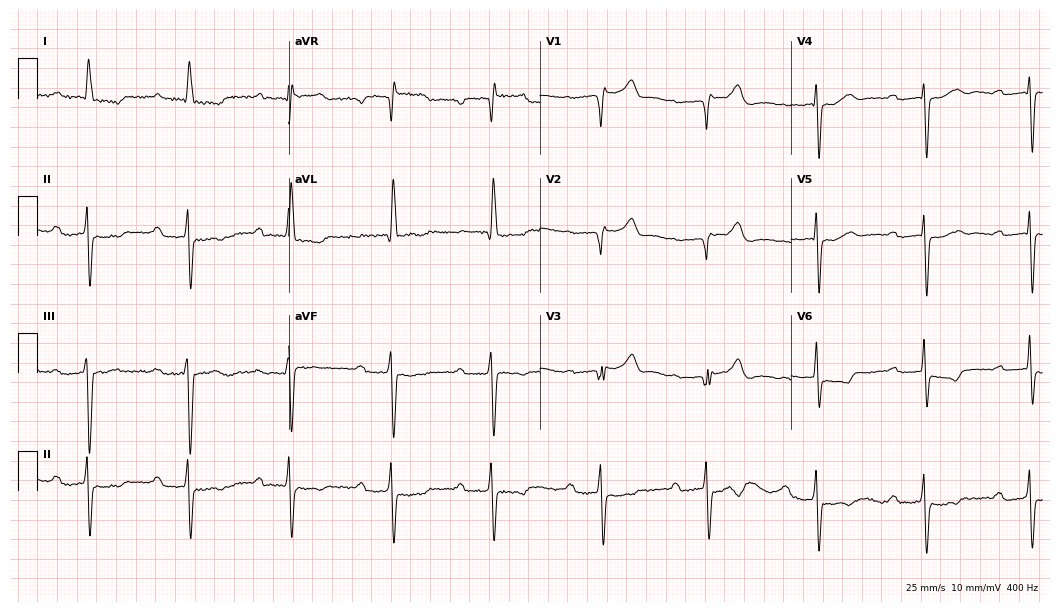
Resting 12-lead electrocardiogram. Patient: a man, 52 years old. The tracing shows first-degree AV block.